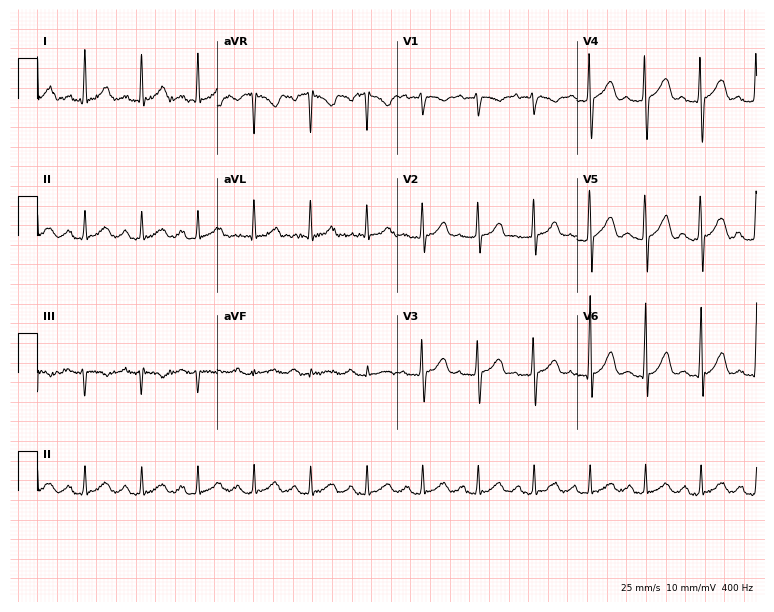
ECG (7.3-second recording at 400 Hz) — a female, 34 years old. Findings include sinus tachycardia (a sinus rate of 100 beats per minute or more).